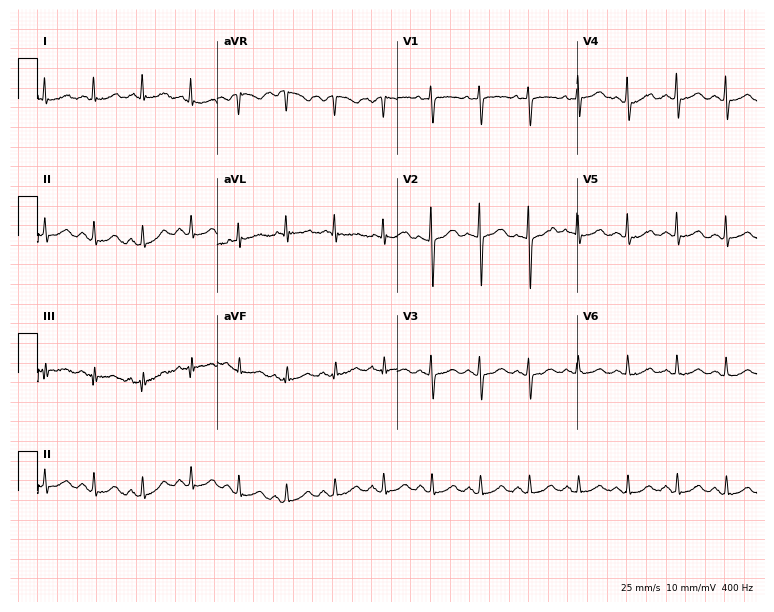
12-lead ECG (7.3-second recording at 400 Hz) from a 55-year-old woman. Findings include sinus tachycardia (a sinus rate of 100 beats per minute or more).